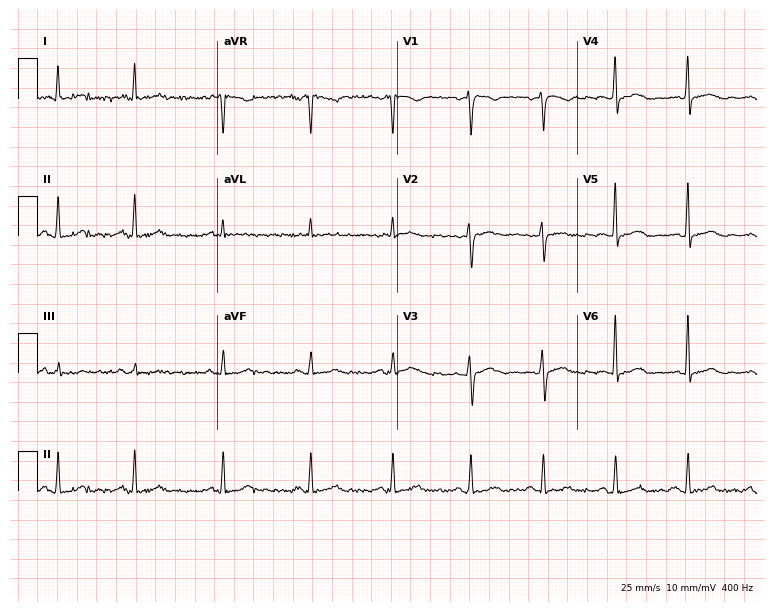
Standard 12-lead ECG recorded from a 37-year-old female patient. None of these six findings is recorded: first-degree AV block, right bundle branch block, left bundle branch block, sinus bradycardia, atrial fibrillation, sinus tachycardia. Findings outside these six are not listed.